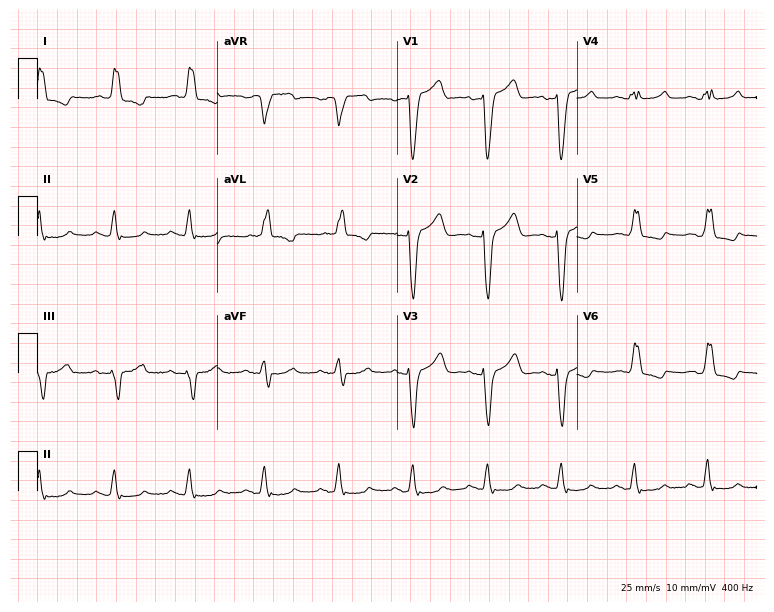
12-lead ECG from a 77-year-old woman. Shows left bundle branch block.